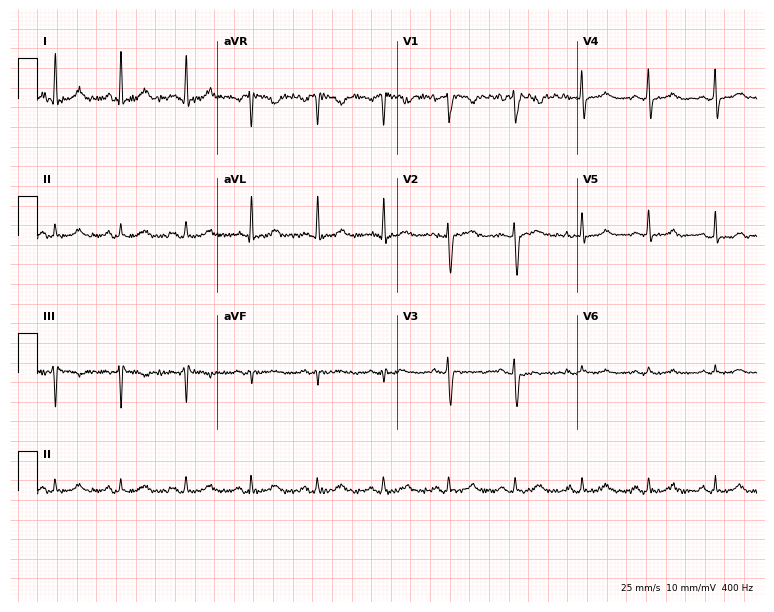
Resting 12-lead electrocardiogram. Patient: a 39-year-old female. None of these six findings is recorded: first-degree AV block, right bundle branch block, left bundle branch block, sinus bradycardia, atrial fibrillation, sinus tachycardia.